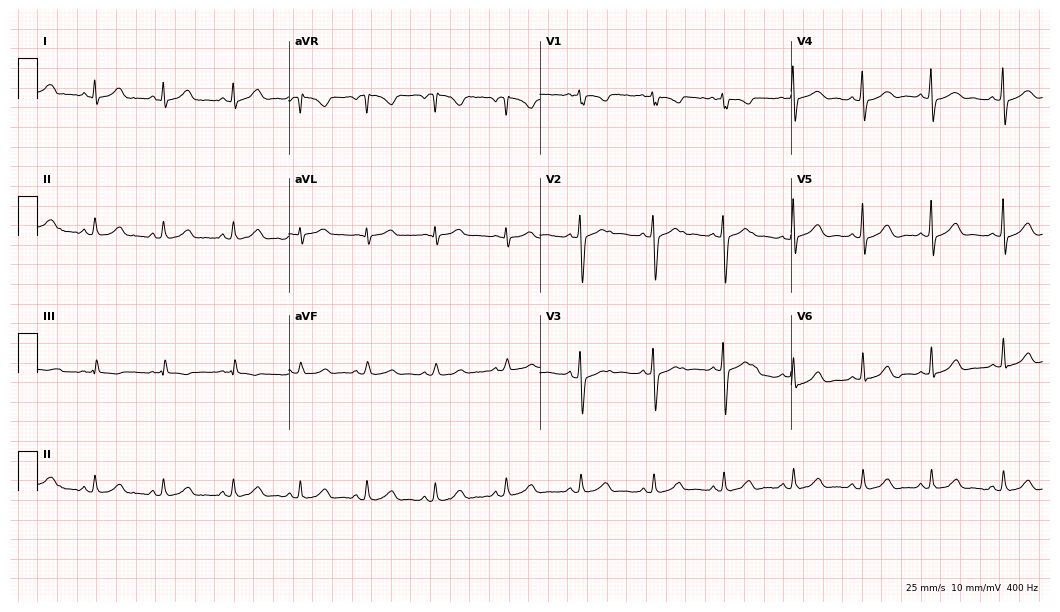
12-lead ECG from a 33-year-old female patient. No first-degree AV block, right bundle branch block, left bundle branch block, sinus bradycardia, atrial fibrillation or sinus tachycardia recorded for this tracing. Findings outside these six are not listed.